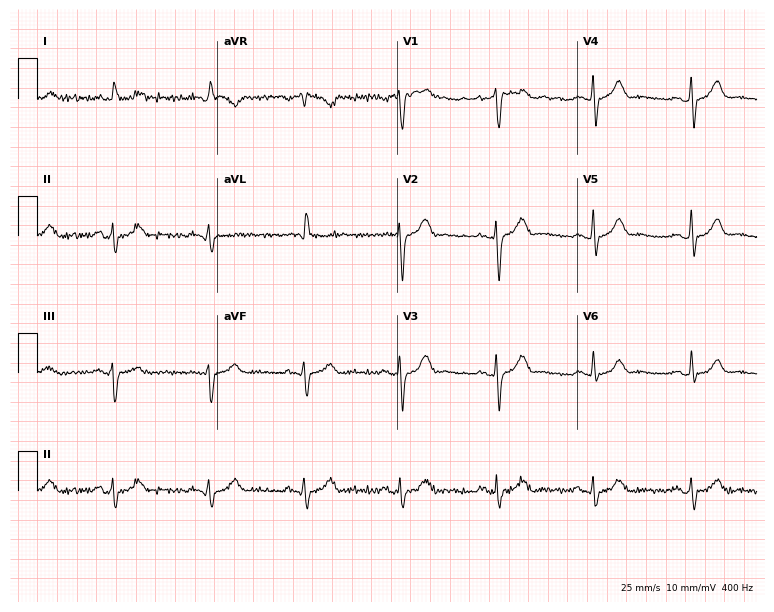
12-lead ECG from a male, 76 years old. No first-degree AV block, right bundle branch block (RBBB), left bundle branch block (LBBB), sinus bradycardia, atrial fibrillation (AF) or sinus tachycardia recorded for this tracing.